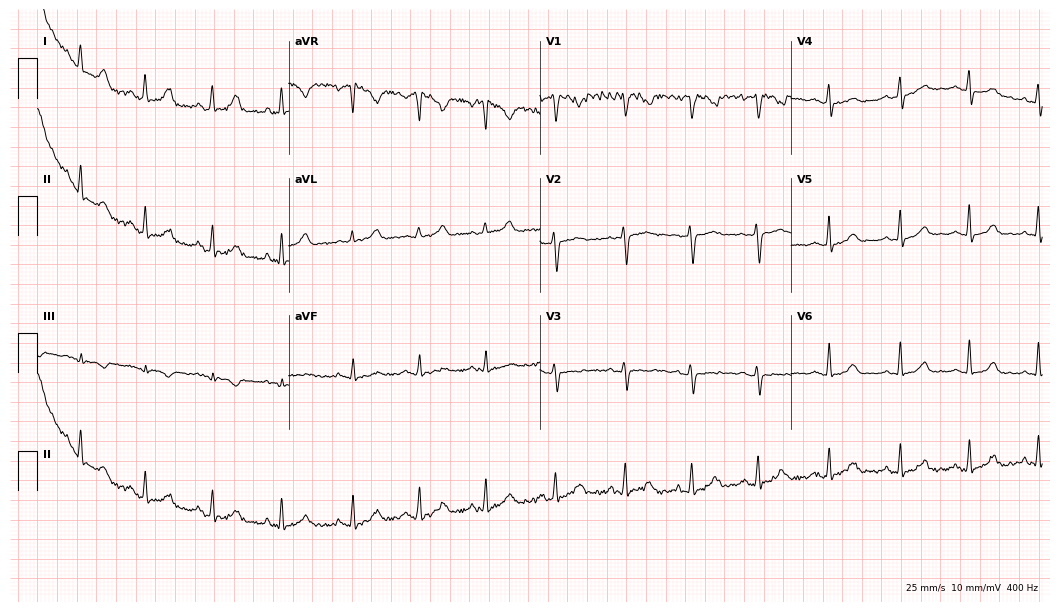
12-lead ECG from a woman, 25 years old. Recorded interpretation: within normal limits.